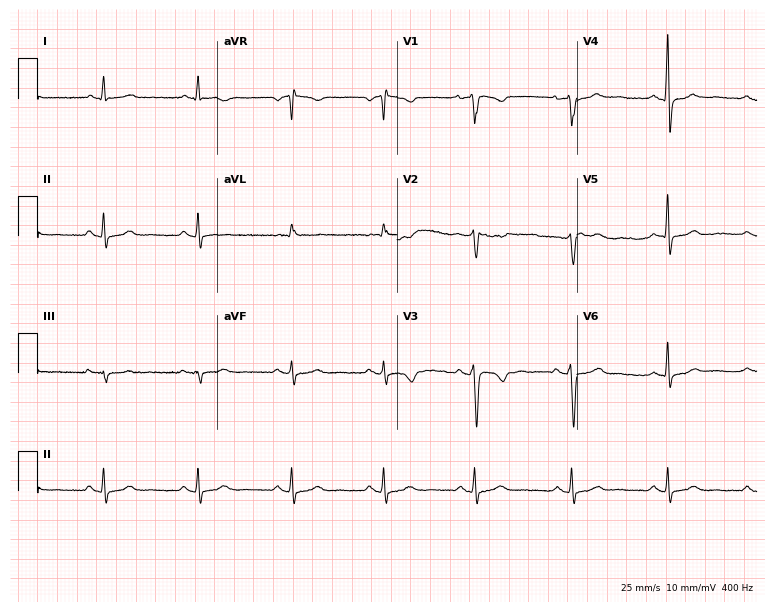
Standard 12-lead ECG recorded from a 49-year-old female (7.3-second recording at 400 Hz). None of these six findings is recorded: first-degree AV block, right bundle branch block, left bundle branch block, sinus bradycardia, atrial fibrillation, sinus tachycardia. Findings outside these six are not listed.